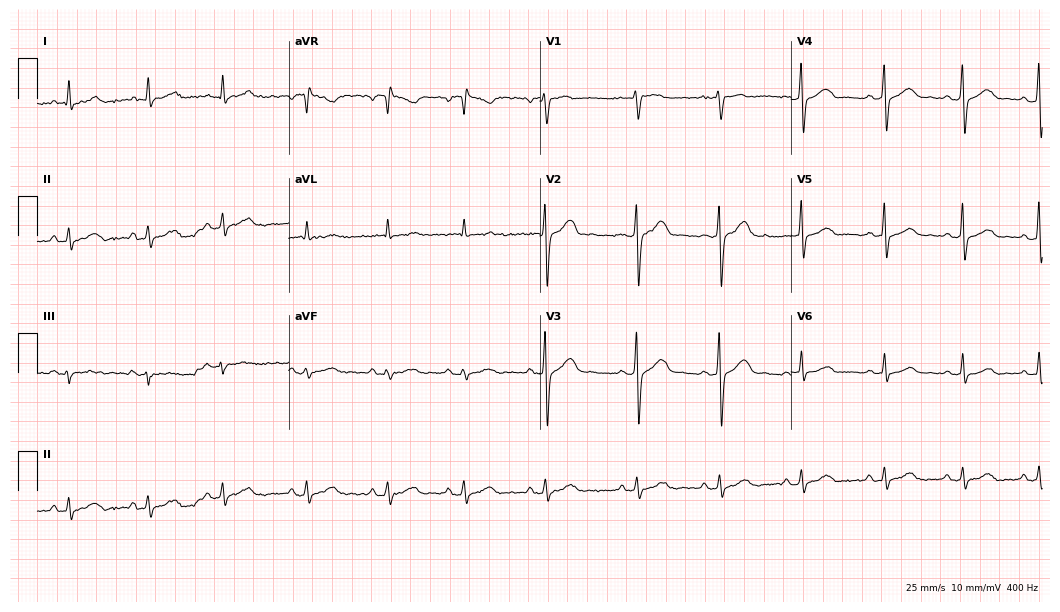
12-lead ECG (10.2-second recording at 400 Hz) from a female patient, 39 years old. Labelled as a normal ECG.